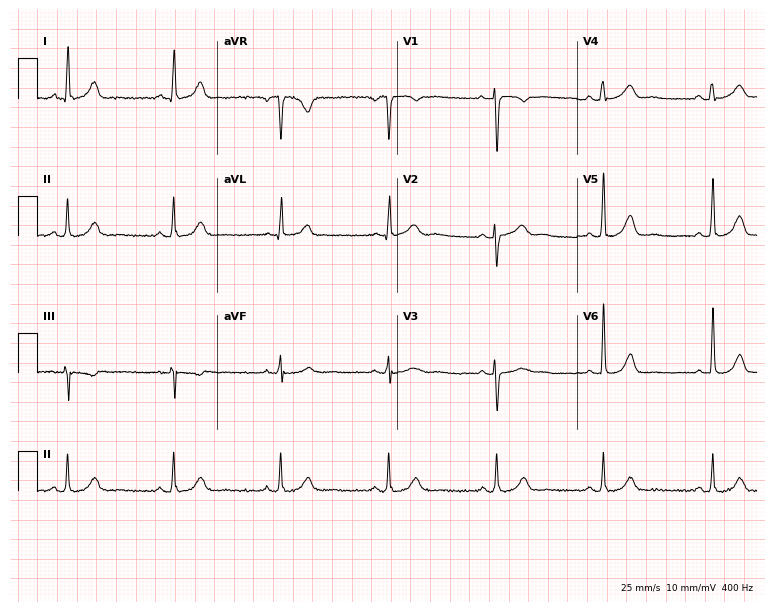
12-lead ECG from a 48-year-old woman. Recorded interpretation: within normal limits.